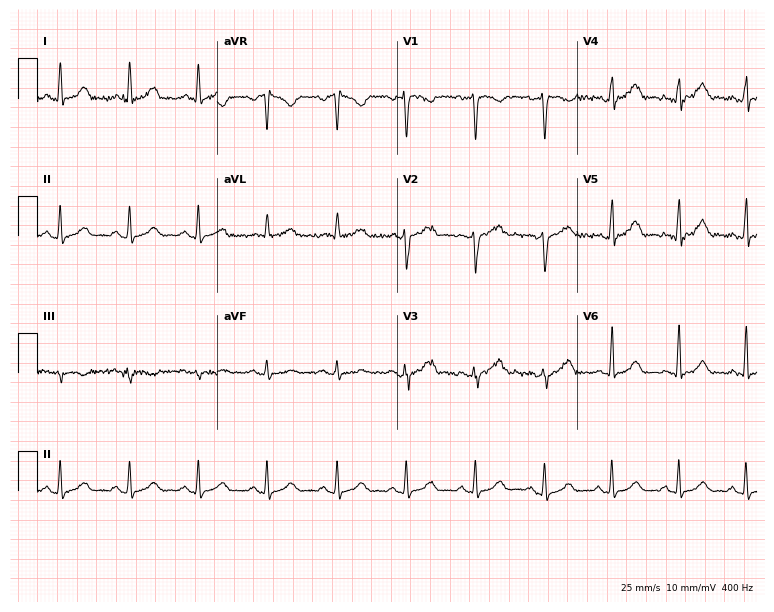
12-lead ECG from a woman, 34 years old. No first-degree AV block, right bundle branch block, left bundle branch block, sinus bradycardia, atrial fibrillation or sinus tachycardia recorded for this tracing.